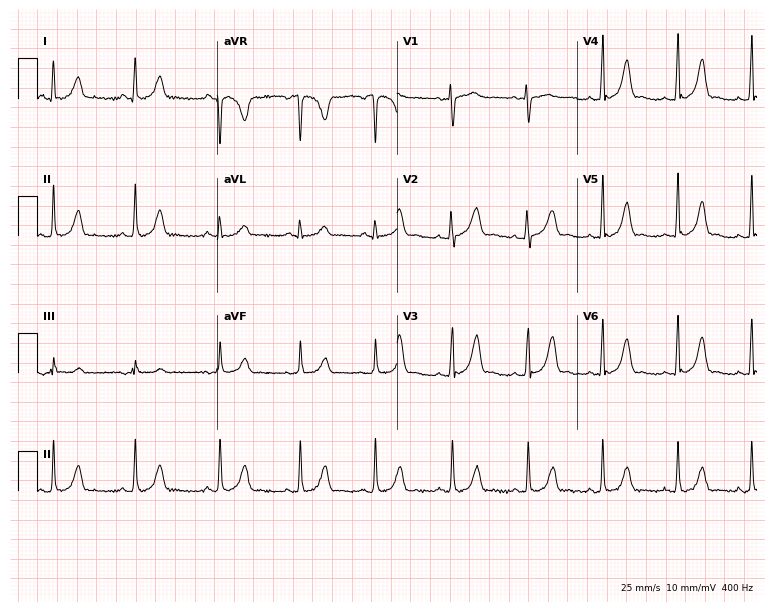
12-lead ECG (7.3-second recording at 400 Hz) from a woman, 35 years old. Screened for six findings — first-degree AV block, right bundle branch block, left bundle branch block, sinus bradycardia, atrial fibrillation, sinus tachycardia — none is recorded.